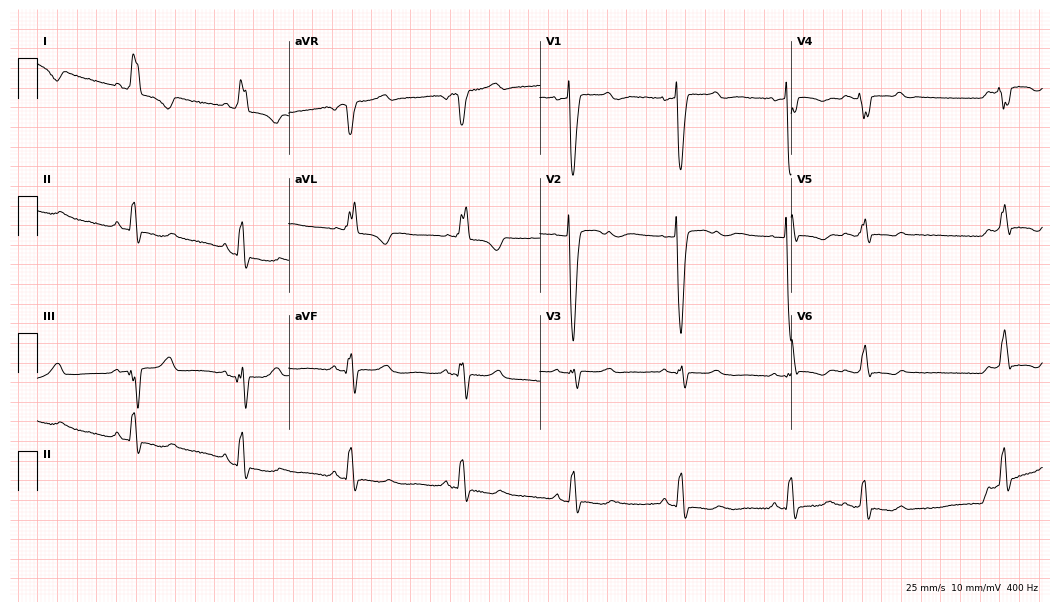
12-lead ECG from an 83-year-old woman. Shows left bundle branch block.